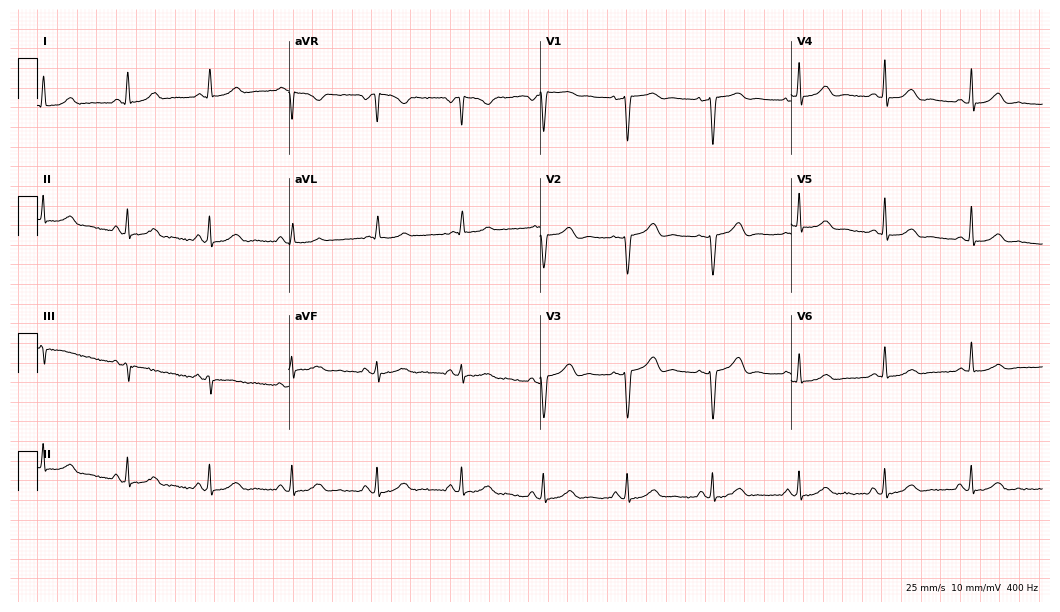
Electrocardiogram, a 49-year-old female patient. Of the six screened findings (first-degree AV block, right bundle branch block, left bundle branch block, sinus bradycardia, atrial fibrillation, sinus tachycardia), none is recorded. Findings outside these six are not listed.